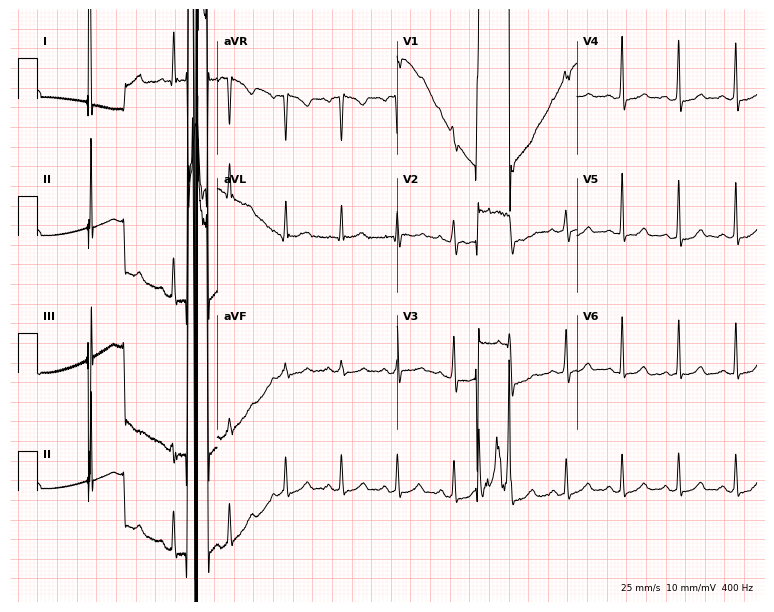
Electrocardiogram, a woman, 39 years old. Of the six screened findings (first-degree AV block, right bundle branch block, left bundle branch block, sinus bradycardia, atrial fibrillation, sinus tachycardia), none is recorded. Only these six findings were labelled.